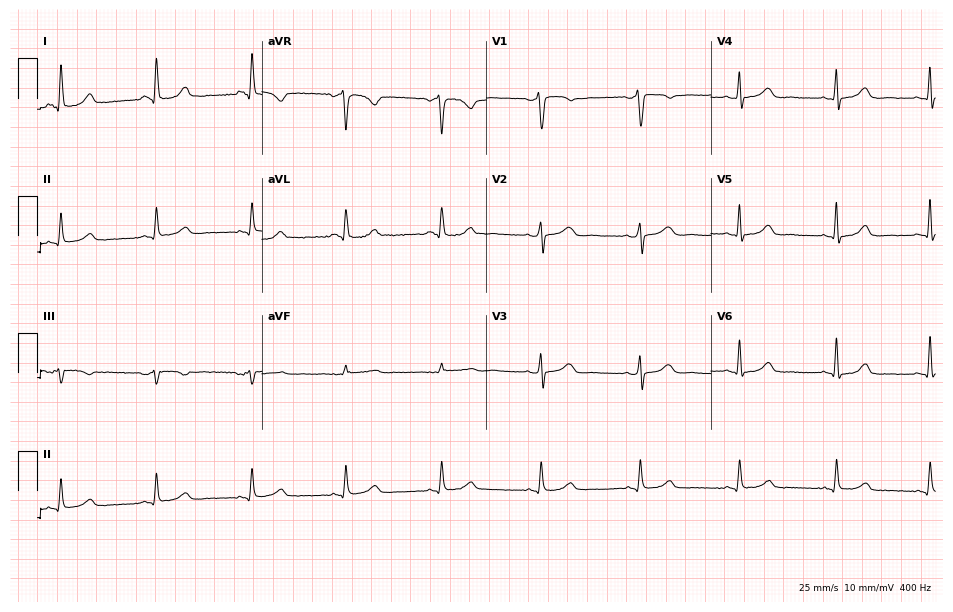
12-lead ECG from a woman, 63 years old (9.2-second recording at 400 Hz). Recorded interpretation: within normal limits.